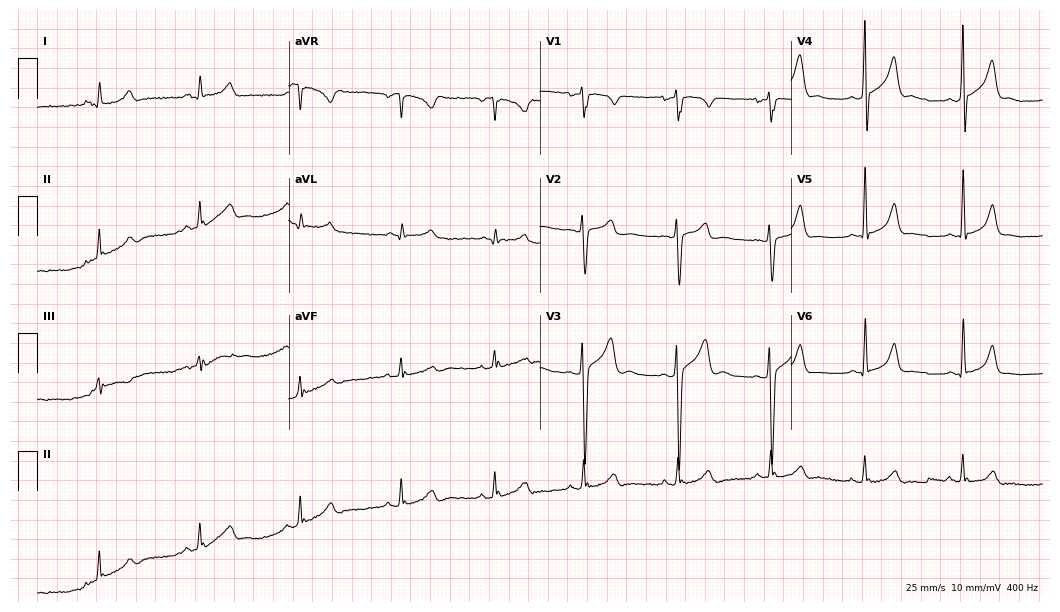
12-lead ECG from a 22-year-old male. No first-degree AV block, right bundle branch block, left bundle branch block, sinus bradycardia, atrial fibrillation or sinus tachycardia recorded for this tracing. Other findings, if any, are not listed.